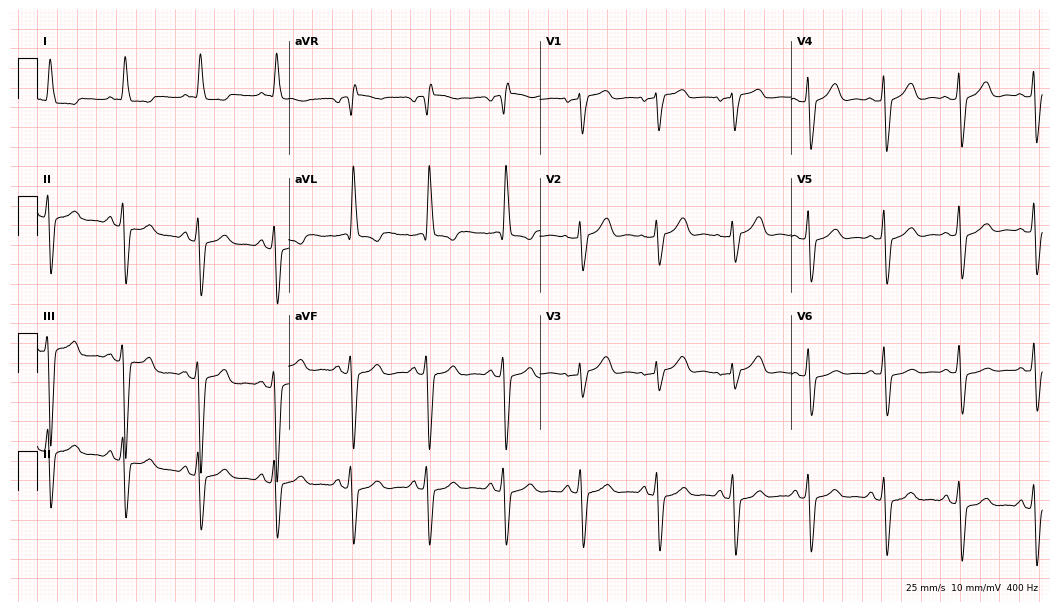
Resting 12-lead electrocardiogram (10.2-second recording at 400 Hz). Patient: a female, 79 years old. None of these six findings is recorded: first-degree AV block, right bundle branch block, left bundle branch block, sinus bradycardia, atrial fibrillation, sinus tachycardia. Other findings, if any, are not listed.